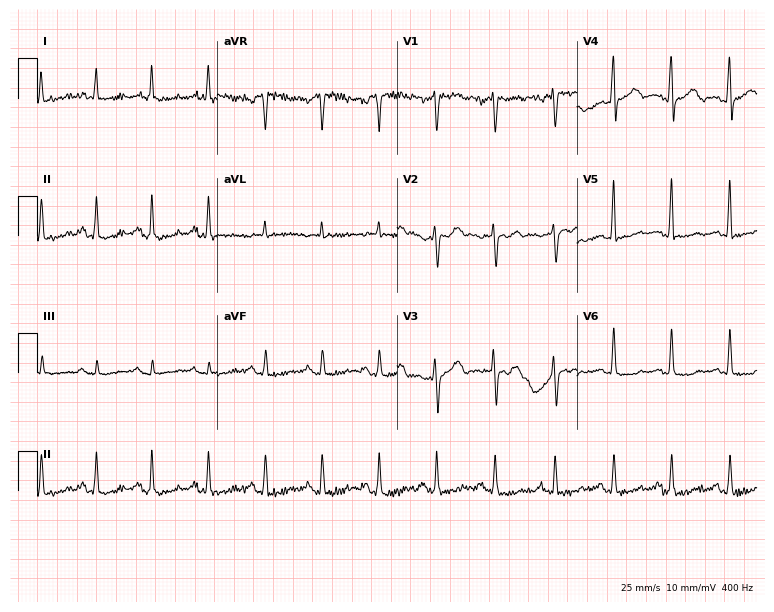
12-lead ECG from a 54-year-old male patient. Shows sinus tachycardia (a sinus rate of 100 beats per minute or more).